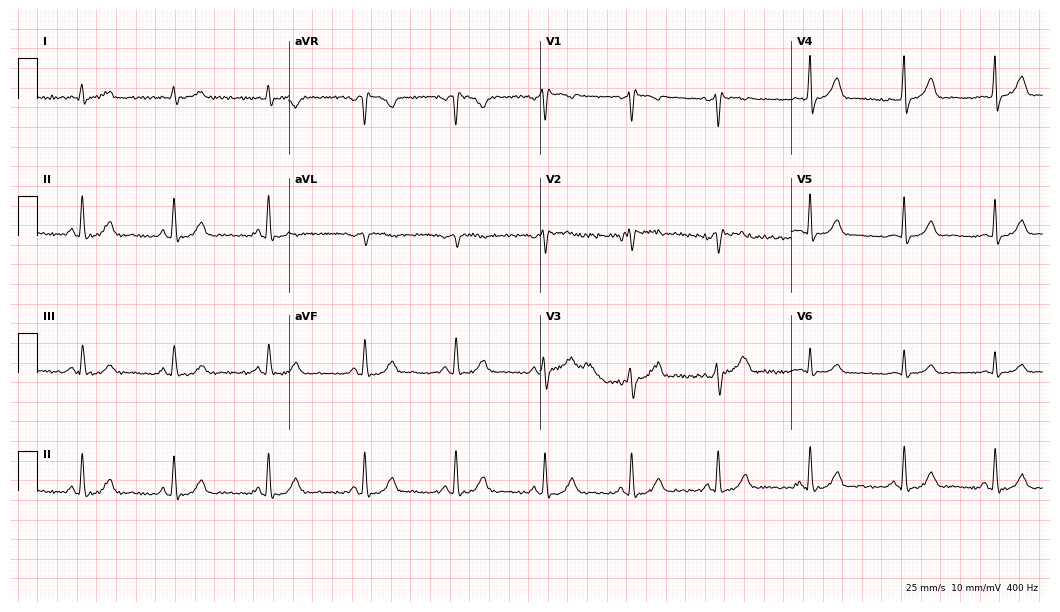
ECG — a 55-year-old male patient. Screened for six findings — first-degree AV block, right bundle branch block (RBBB), left bundle branch block (LBBB), sinus bradycardia, atrial fibrillation (AF), sinus tachycardia — none is recorded. Findings outside these six are not listed.